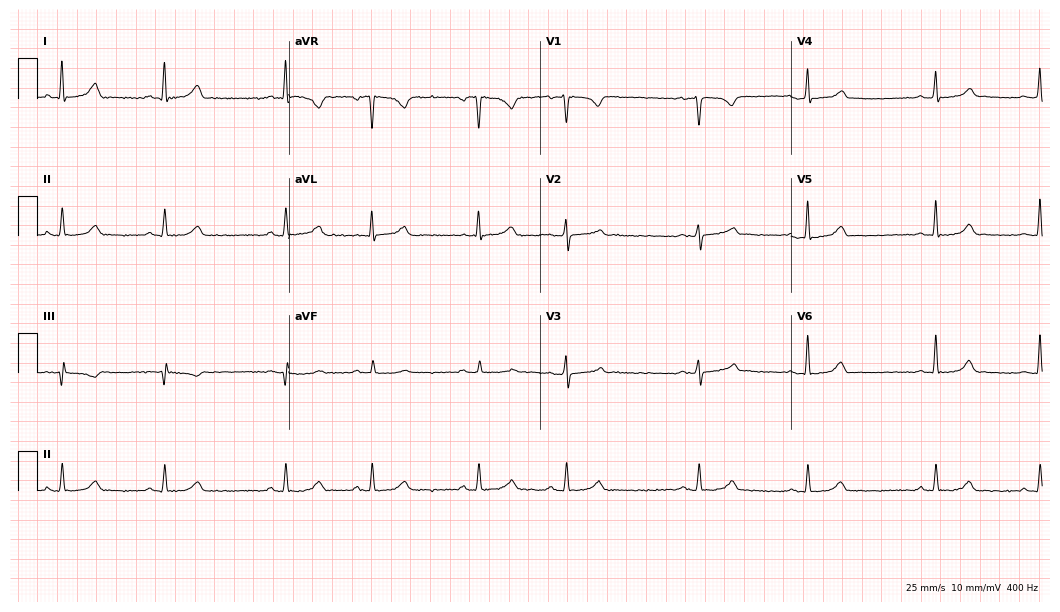
Standard 12-lead ECG recorded from a woman, 25 years old. Read as a normal ECG.